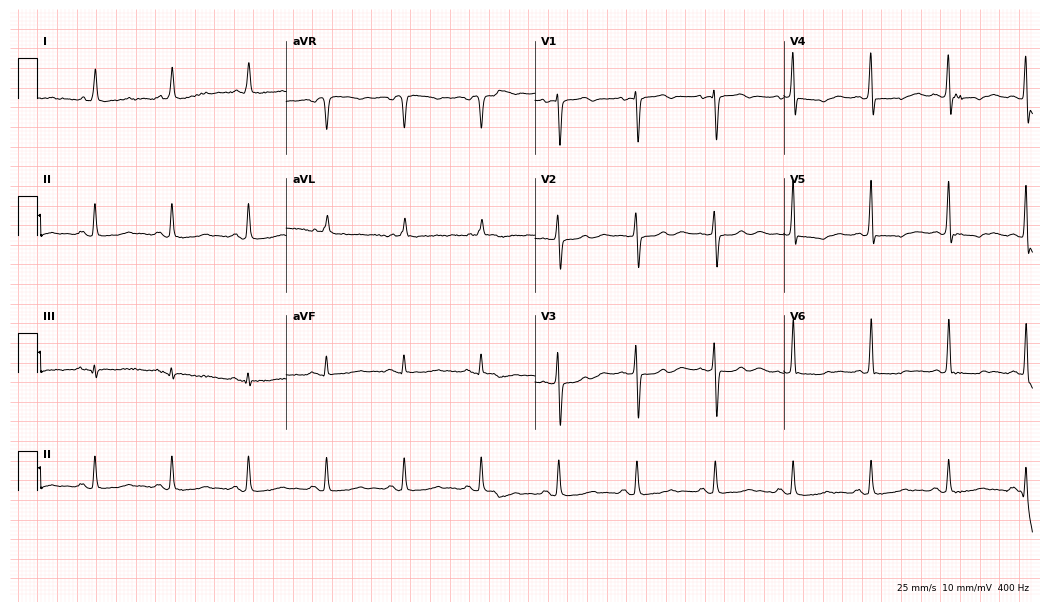
Standard 12-lead ECG recorded from a 69-year-old female patient (10.1-second recording at 400 Hz). None of these six findings is recorded: first-degree AV block, right bundle branch block, left bundle branch block, sinus bradycardia, atrial fibrillation, sinus tachycardia. Other findings, if any, are not listed.